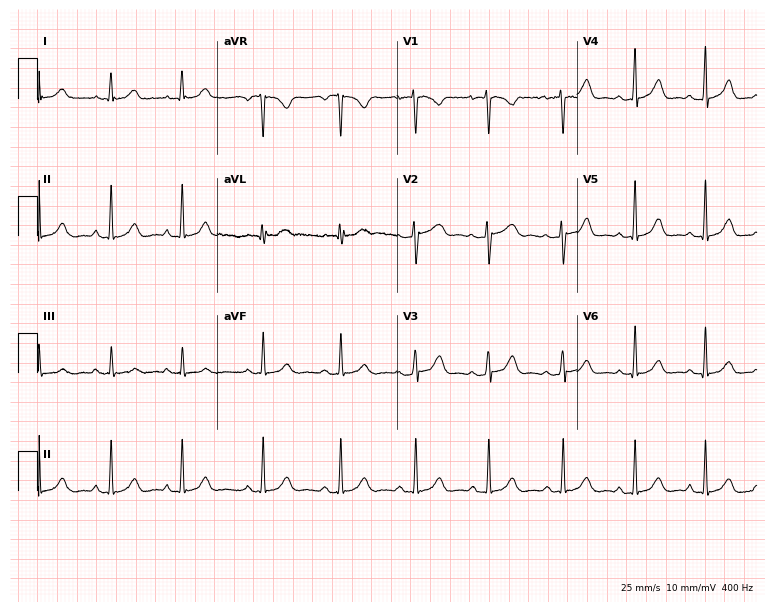
ECG — a 32-year-old woman. Screened for six findings — first-degree AV block, right bundle branch block, left bundle branch block, sinus bradycardia, atrial fibrillation, sinus tachycardia — none is recorded.